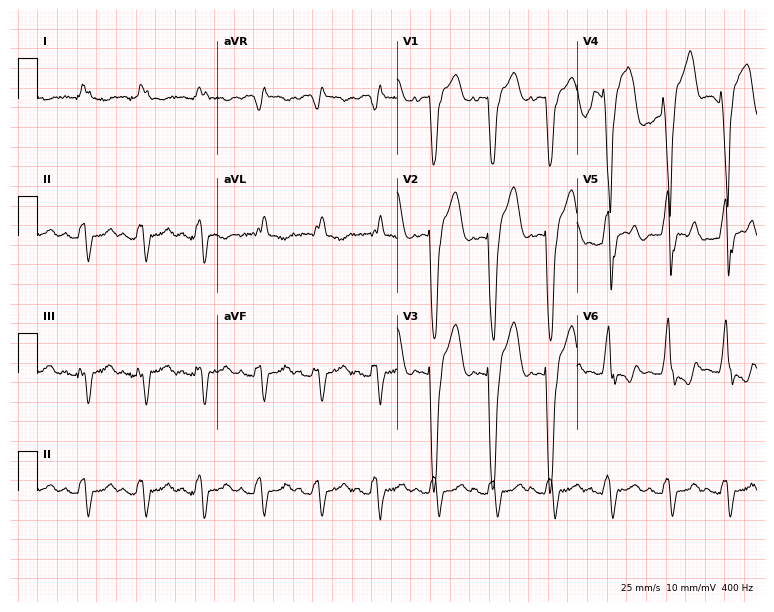
Electrocardiogram (7.3-second recording at 400 Hz), an 82-year-old female patient. Interpretation includes left bundle branch block.